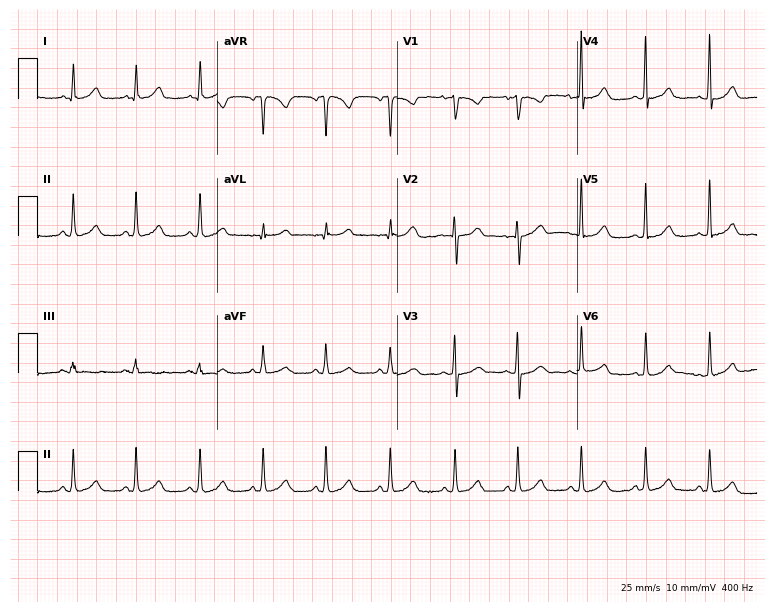
12-lead ECG from a 31-year-old female patient (7.3-second recording at 400 Hz). No first-degree AV block, right bundle branch block, left bundle branch block, sinus bradycardia, atrial fibrillation or sinus tachycardia recorded for this tracing. Other findings, if any, are not listed.